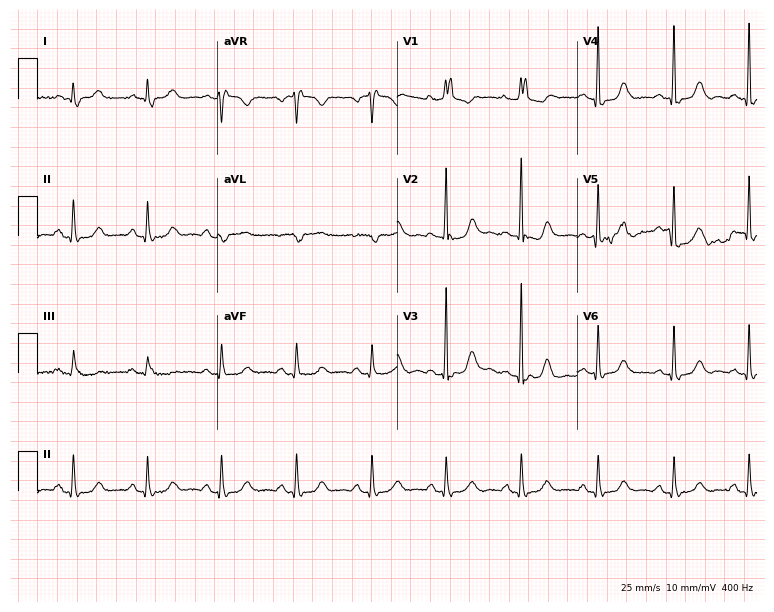
Resting 12-lead electrocardiogram (7.3-second recording at 400 Hz). Patient: an 84-year-old female. None of these six findings is recorded: first-degree AV block, right bundle branch block, left bundle branch block, sinus bradycardia, atrial fibrillation, sinus tachycardia.